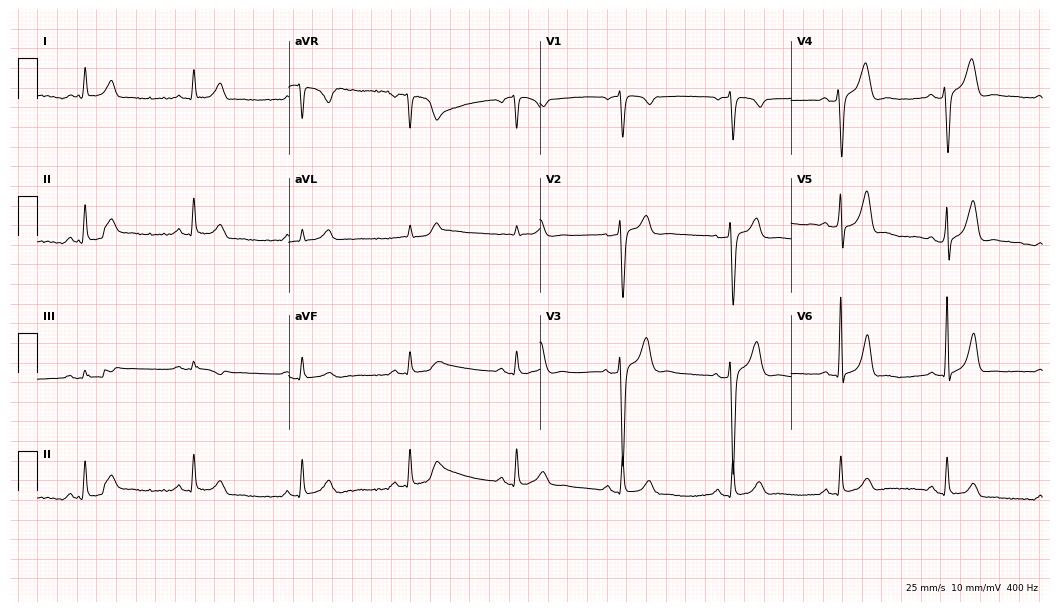
Resting 12-lead electrocardiogram (10.2-second recording at 400 Hz). Patient: a 51-year-old male. Read as a normal ECG.